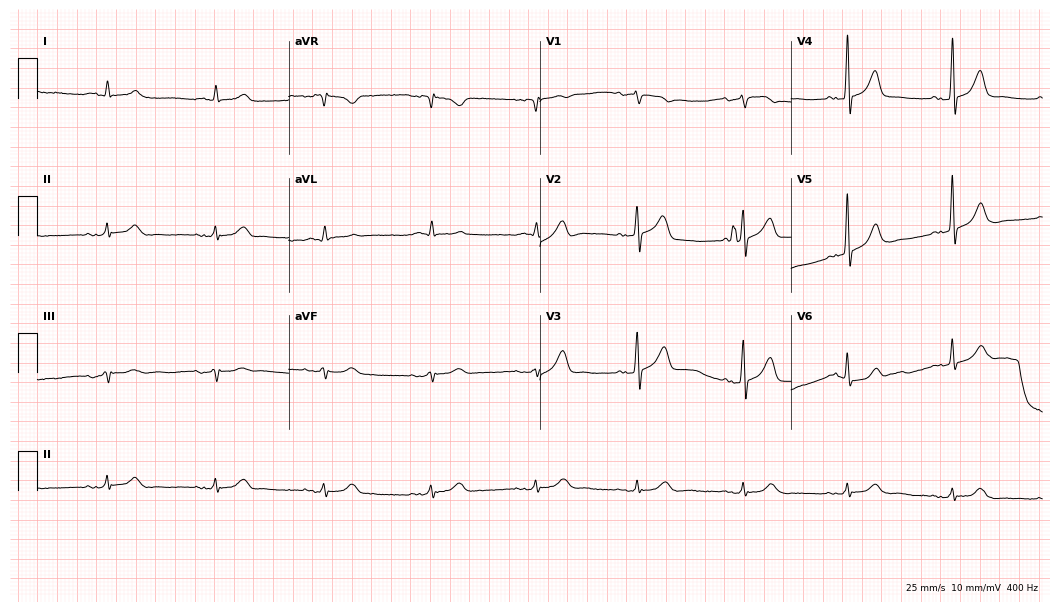
ECG — an 81-year-old male. Screened for six findings — first-degree AV block, right bundle branch block, left bundle branch block, sinus bradycardia, atrial fibrillation, sinus tachycardia — none is recorded.